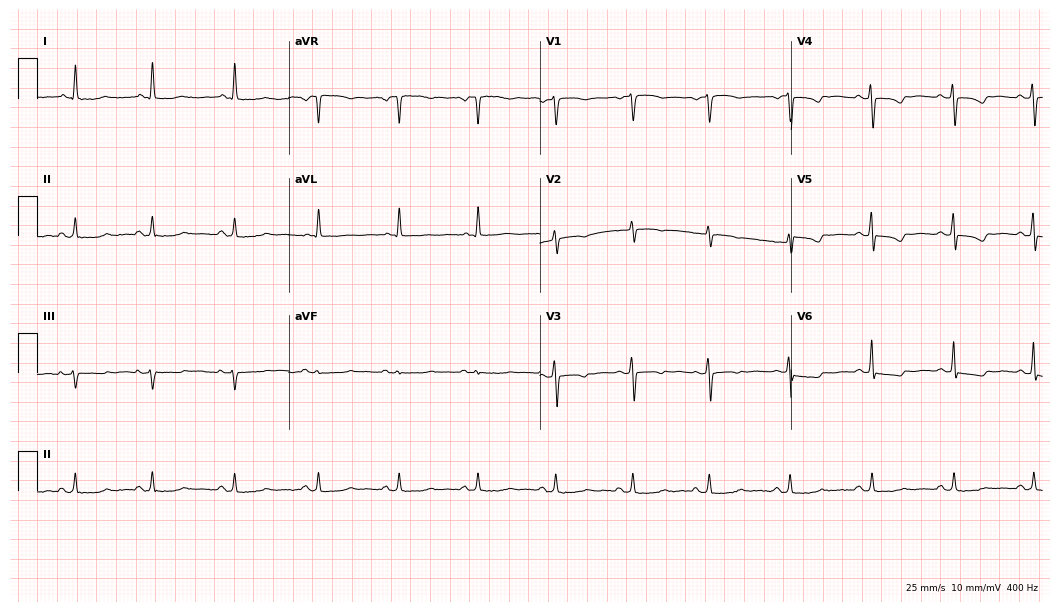
12-lead ECG from a 41-year-old female (10.2-second recording at 400 Hz). No first-degree AV block, right bundle branch block (RBBB), left bundle branch block (LBBB), sinus bradycardia, atrial fibrillation (AF) or sinus tachycardia recorded for this tracing. Only these six findings were labelled.